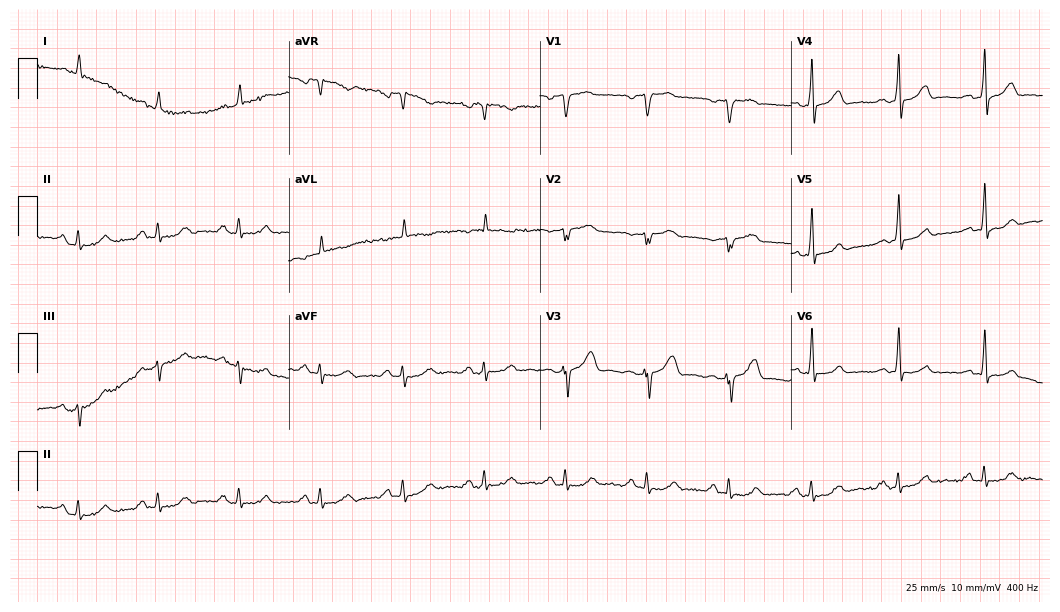
Electrocardiogram (10.2-second recording at 400 Hz), a female, 67 years old. Overall reading on record: normal ECG.